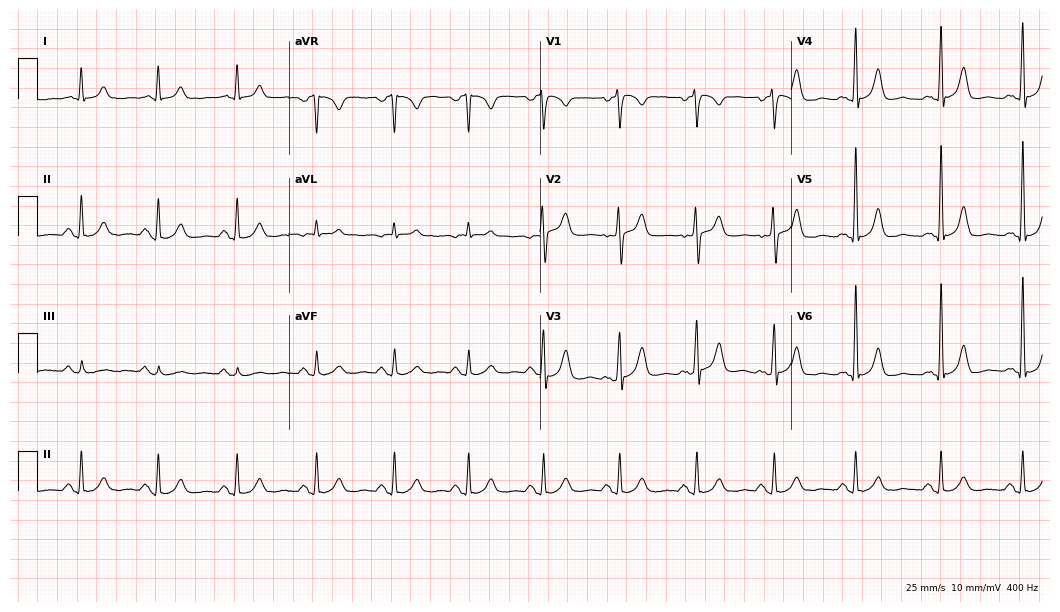
Standard 12-lead ECG recorded from a man, 71 years old (10.2-second recording at 400 Hz). Read as a normal ECG.